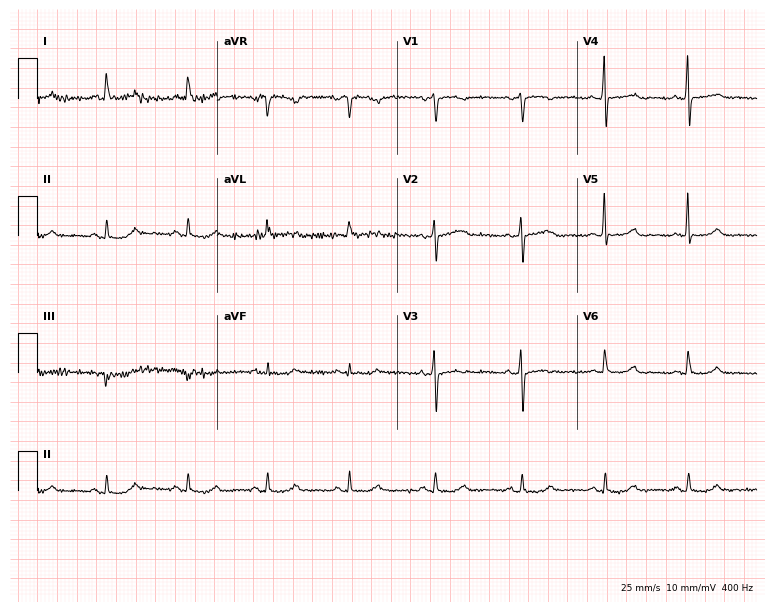
12-lead ECG from a 44-year-old female patient. Recorded interpretation: within normal limits.